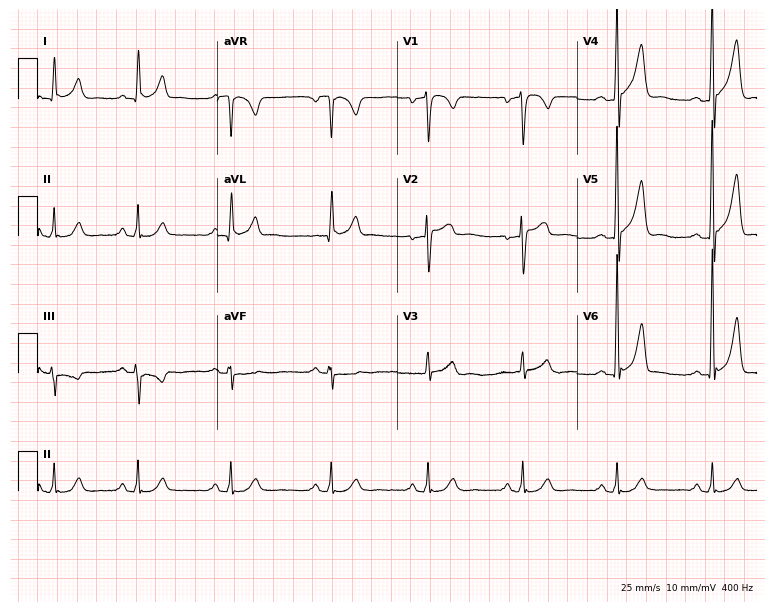
Standard 12-lead ECG recorded from a 48-year-old male (7.3-second recording at 400 Hz). Read as a normal ECG.